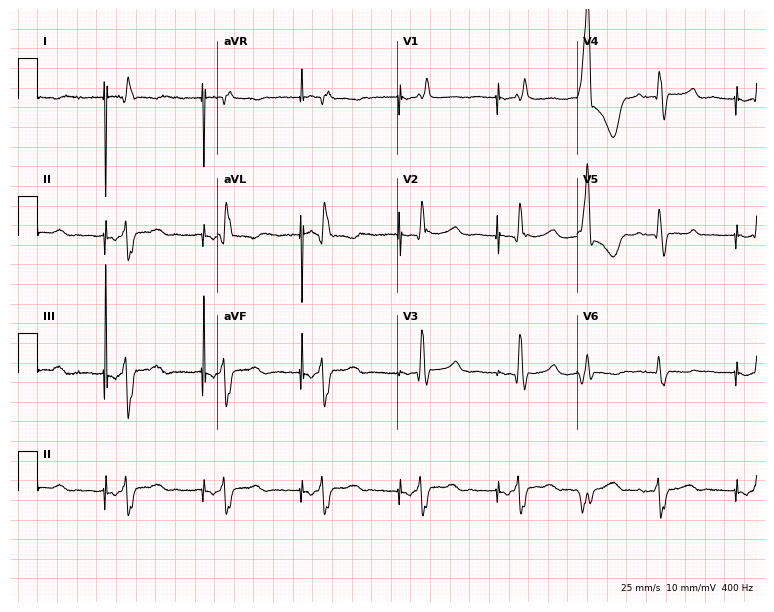
ECG — a 49-year-old male patient. Screened for six findings — first-degree AV block, right bundle branch block, left bundle branch block, sinus bradycardia, atrial fibrillation, sinus tachycardia — none is recorded. Other findings, if any, are not listed.